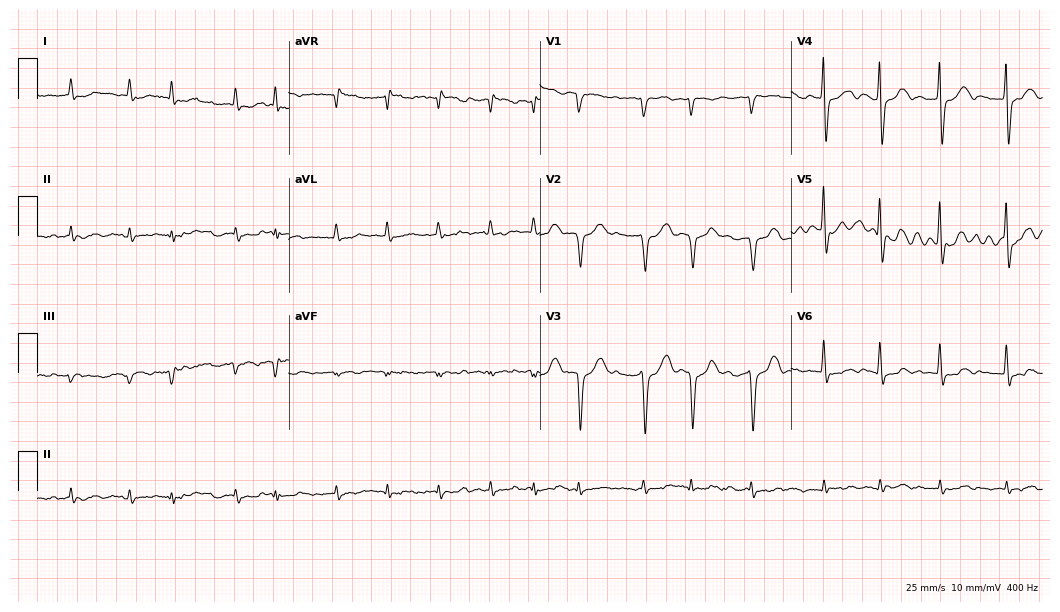
12-lead ECG from a female patient, 73 years old. No first-degree AV block, right bundle branch block, left bundle branch block, sinus bradycardia, atrial fibrillation or sinus tachycardia recorded for this tracing.